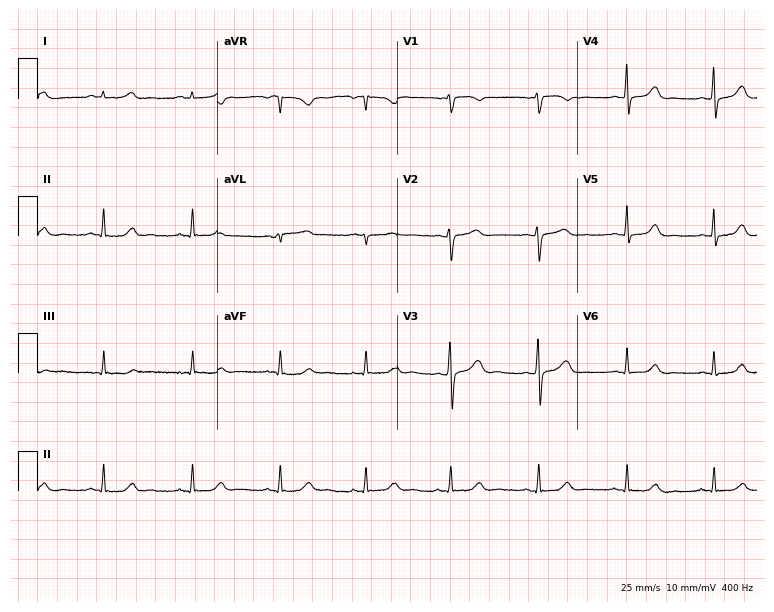
Resting 12-lead electrocardiogram (7.3-second recording at 400 Hz). Patient: a female, 38 years old. Read as a normal ECG.